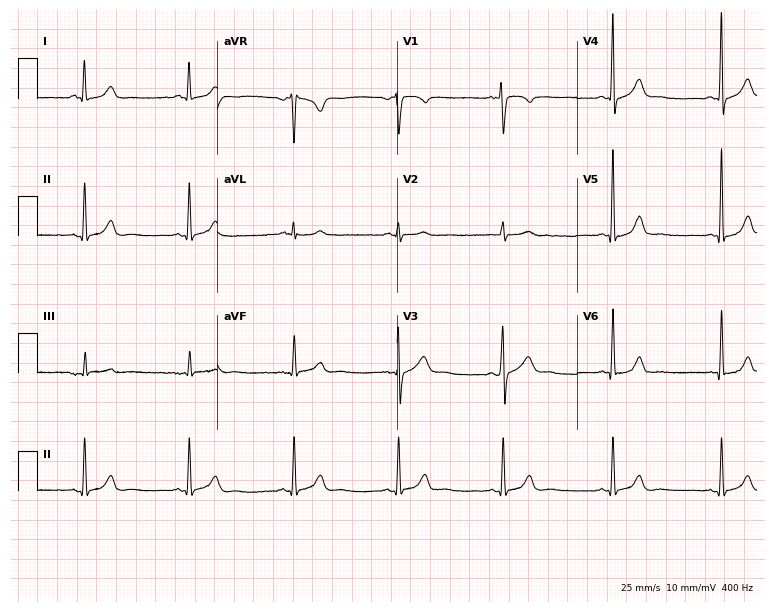
Resting 12-lead electrocardiogram (7.3-second recording at 400 Hz). Patient: a 20-year-old man. None of these six findings is recorded: first-degree AV block, right bundle branch block, left bundle branch block, sinus bradycardia, atrial fibrillation, sinus tachycardia.